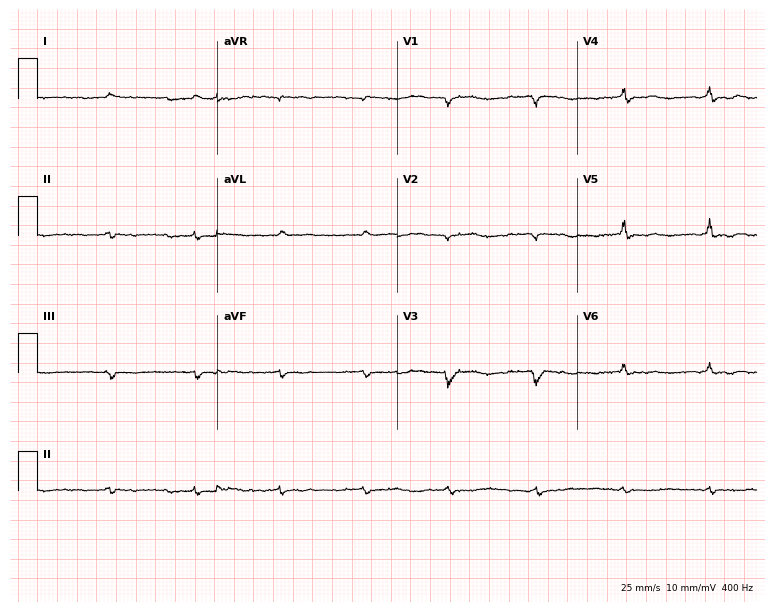
Standard 12-lead ECG recorded from a 76-year-old female patient. None of these six findings is recorded: first-degree AV block, right bundle branch block, left bundle branch block, sinus bradycardia, atrial fibrillation, sinus tachycardia.